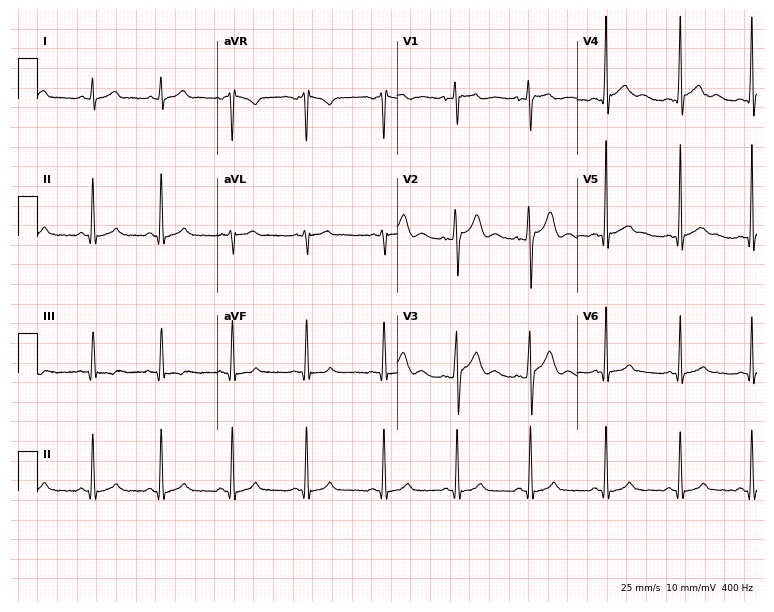
ECG (7.3-second recording at 400 Hz) — a 20-year-old male patient. Labelled as a normal ECG.